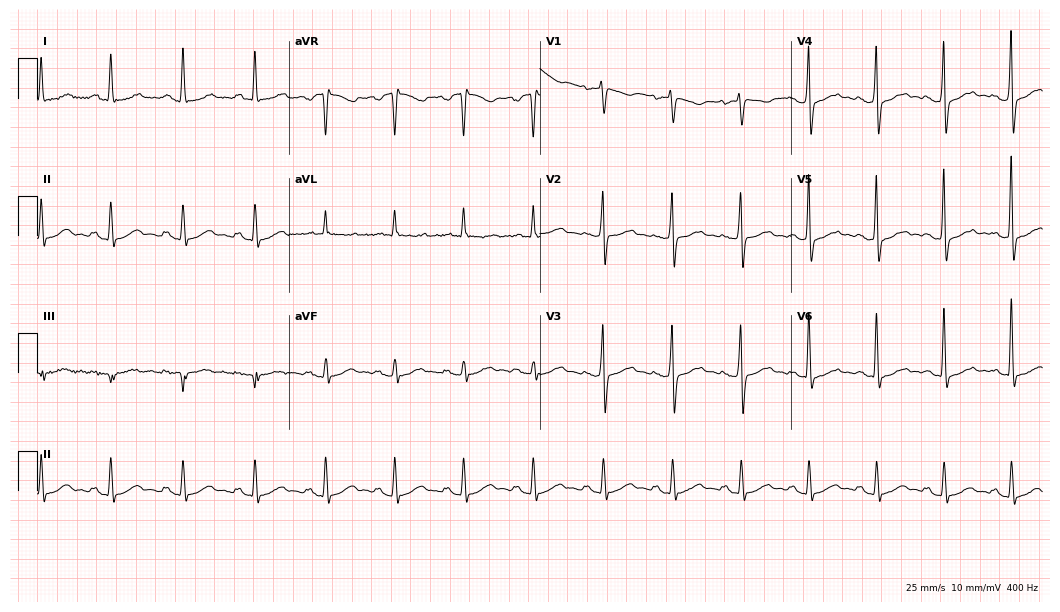
12-lead ECG from a 42-year-old female. Screened for six findings — first-degree AV block, right bundle branch block, left bundle branch block, sinus bradycardia, atrial fibrillation, sinus tachycardia — none is recorded.